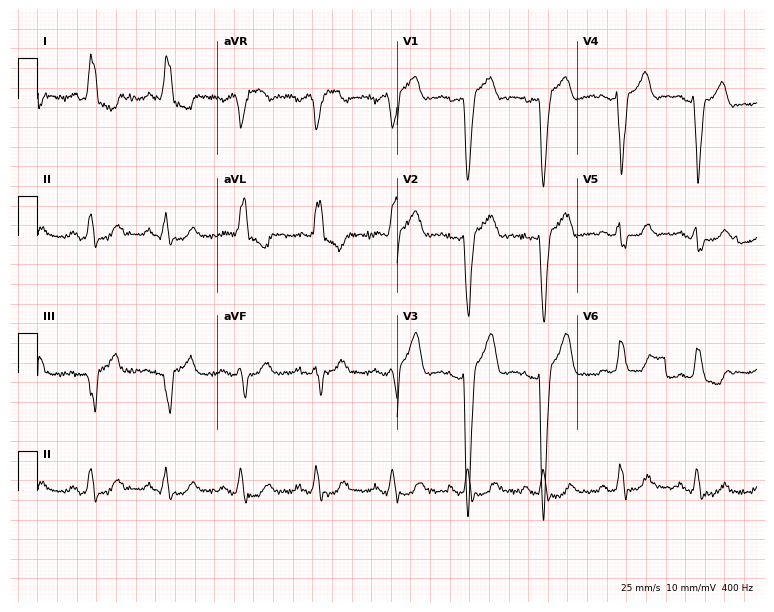
12-lead ECG from a female, 69 years old. Findings include left bundle branch block (LBBB).